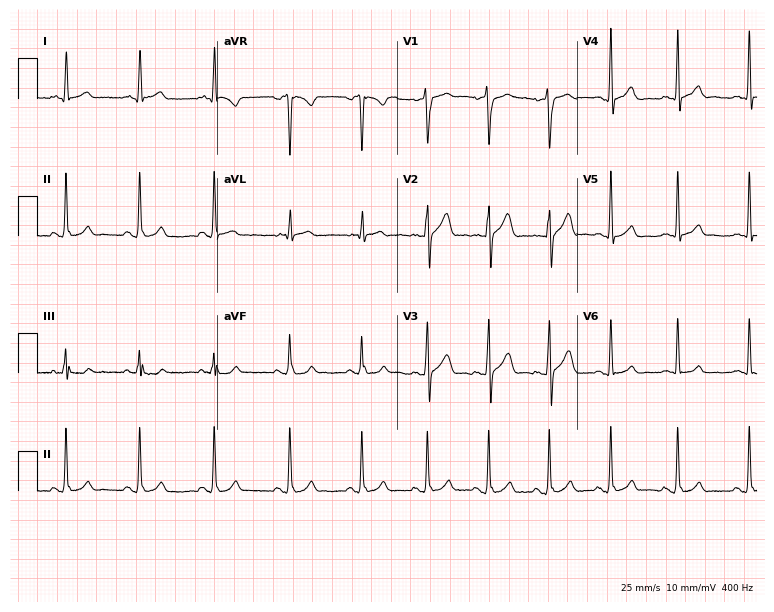
Resting 12-lead electrocardiogram. Patient: a male, 17 years old. Read as a normal ECG.